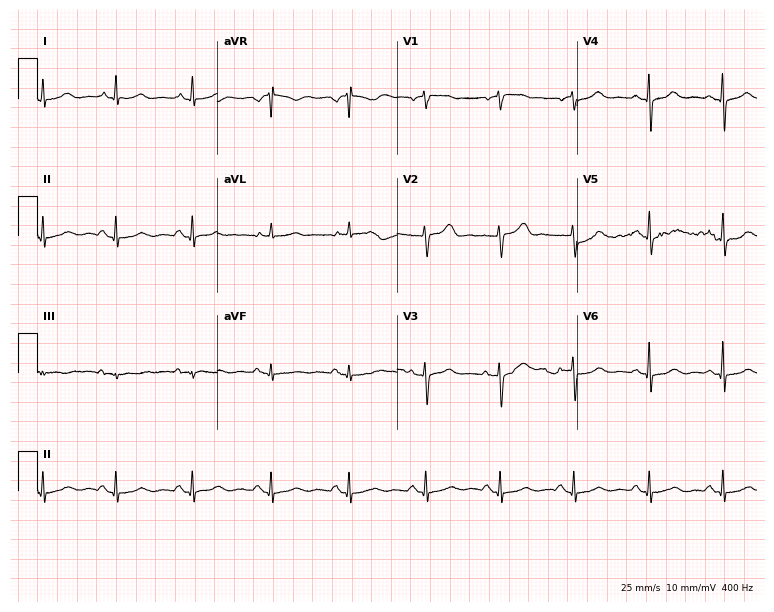
12-lead ECG from a woman, 68 years old (7.3-second recording at 400 Hz). Recorded interpretation: within normal limits.